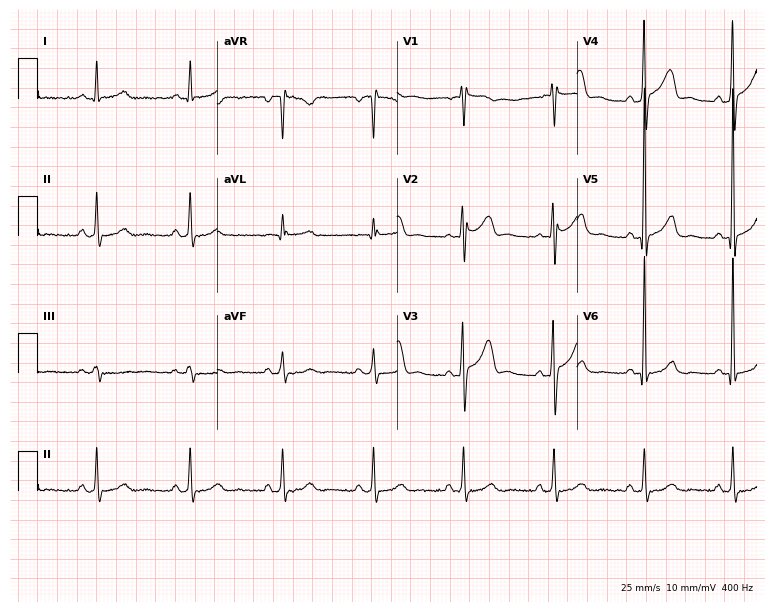
12-lead ECG from a male, 62 years old (7.3-second recording at 400 Hz). No first-degree AV block, right bundle branch block, left bundle branch block, sinus bradycardia, atrial fibrillation or sinus tachycardia recorded for this tracing.